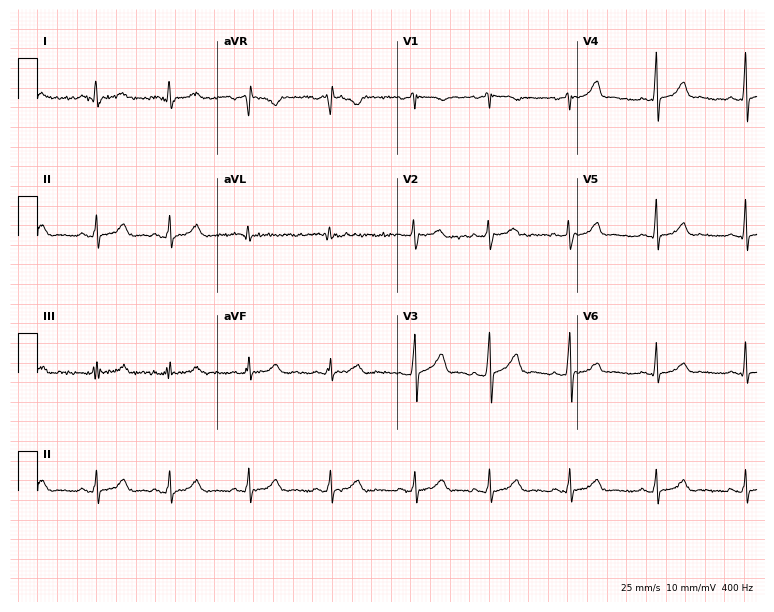
12-lead ECG (7.3-second recording at 400 Hz) from a female patient, 19 years old. Labelled as a normal ECG.